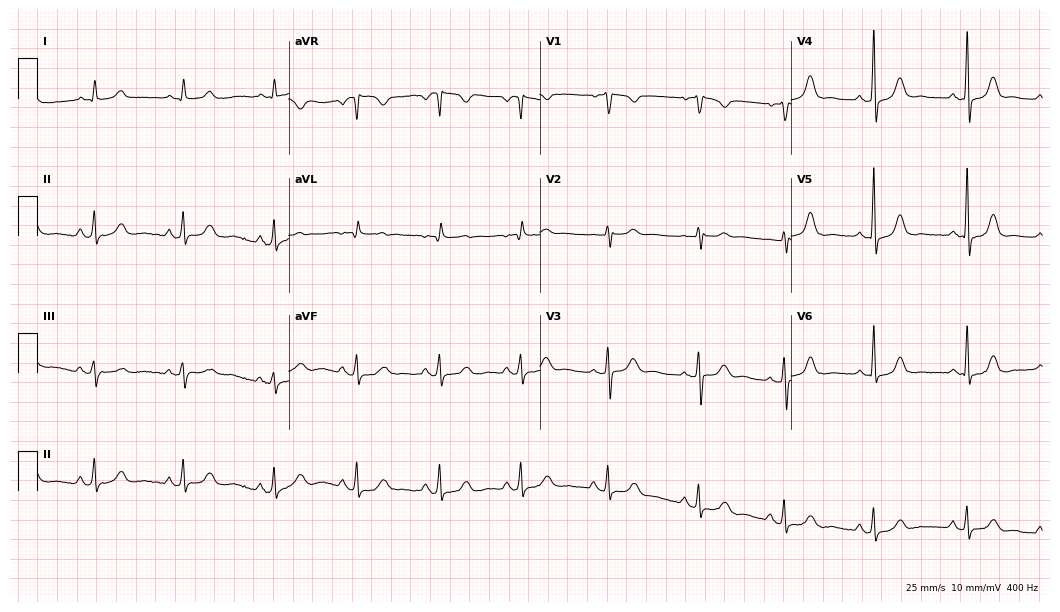
Electrocardiogram, a 40-year-old female patient. Of the six screened findings (first-degree AV block, right bundle branch block, left bundle branch block, sinus bradycardia, atrial fibrillation, sinus tachycardia), none is recorded.